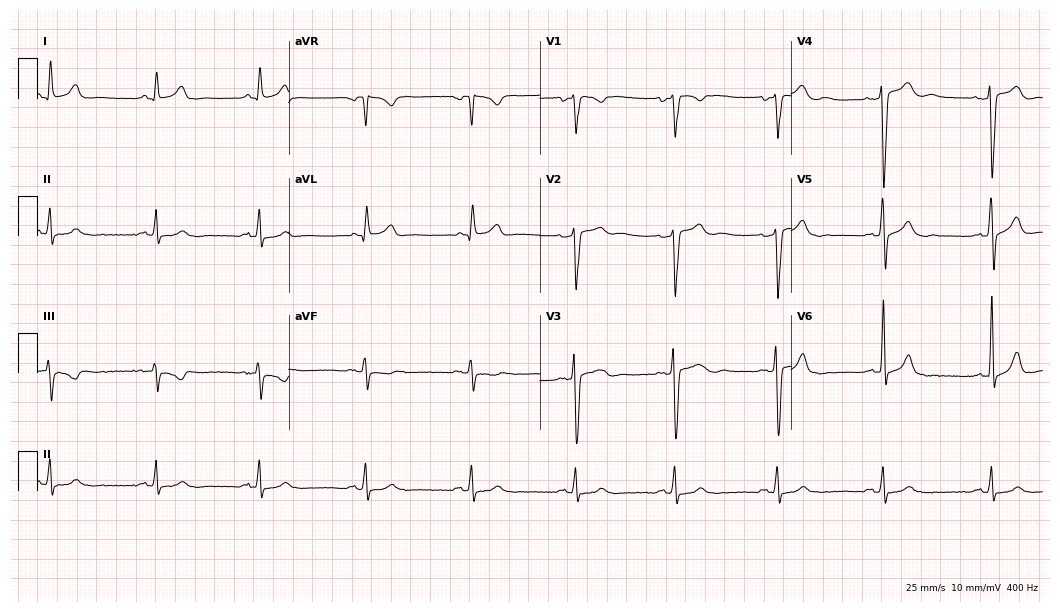
ECG (10.2-second recording at 400 Hz) — a 44-year-old man. Screened for six findings — first-degree AV block, right bundle branch block (RBBB), left bundle branch block (LBBB), sinus bradycardia, atrial fibrillation (AF), sinus tachycardia — none is recorded.